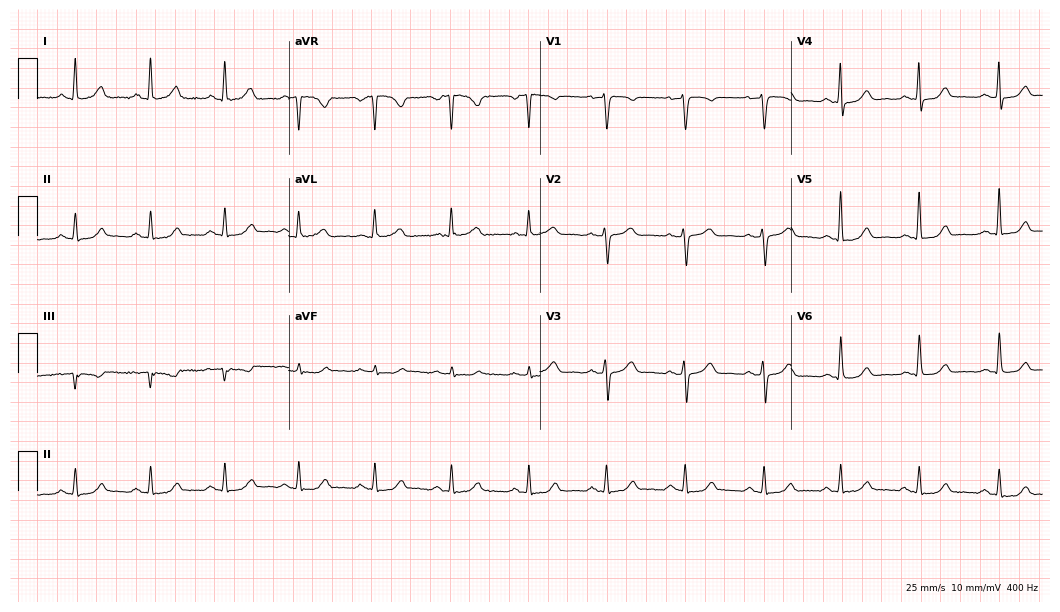
12-lead ECG from a 47-year-old female. Recorded interpretation: within normal limits.